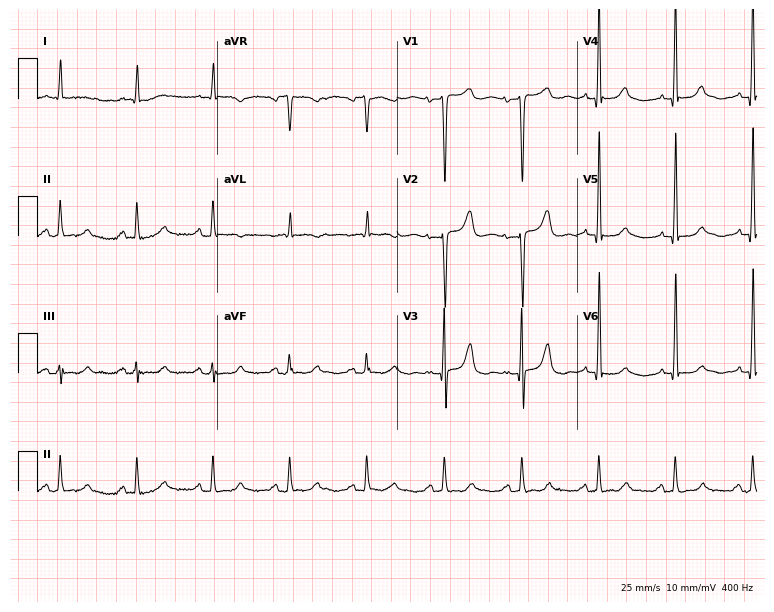
Resting 12-lead electrocardiogram. Patient: a 77-year-old woman. None of these six findings is recorded: first-degree AV block, right bundle branch block (RBBB), left bundle branch block (LBBB), sinus bradycardia, atrial fibrillation (AF), sinus tachycardia. Findings outside these six are not listed.